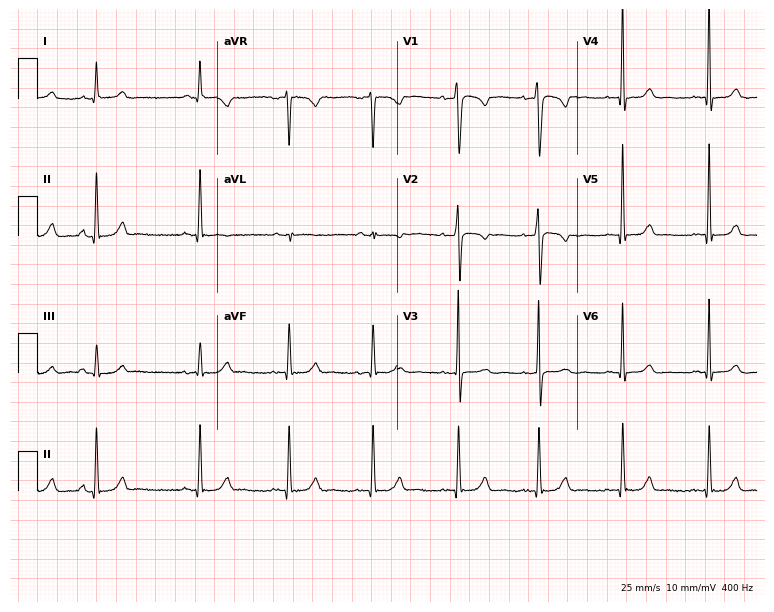
Electrocardiogram (7.3-second recording at 400 Hz), a 23-year-old female patient. Overall reading on record: normal ECG.